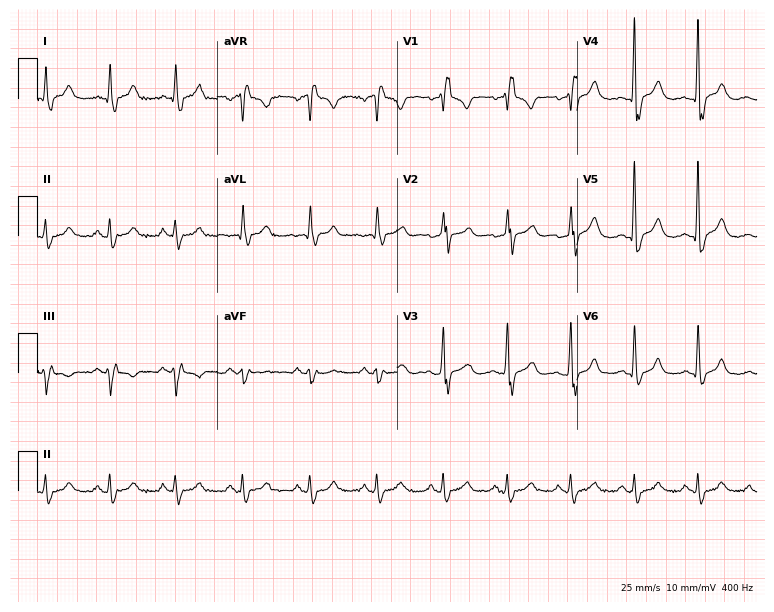
12-lead ECG (7.3-second recording at 400 Hz) from a 49-year-old male patient. Findings include right bundle branch block.